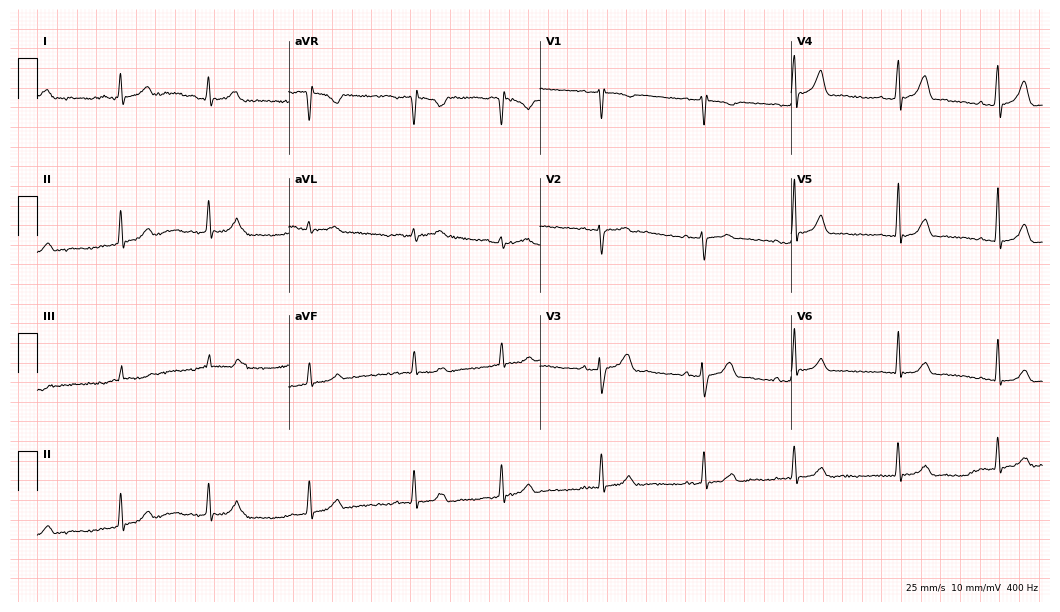
12-lead ECG (10.2-second recording at 400 Hz) from a female patient, 42 years old. Screened for six findings — first-degree AV block, right bundle branch block, left bundle branch block, sinus bradycardia, atrial fibrillation, sinus tachycardia — none is recorded. Findings outside these six are not listed.